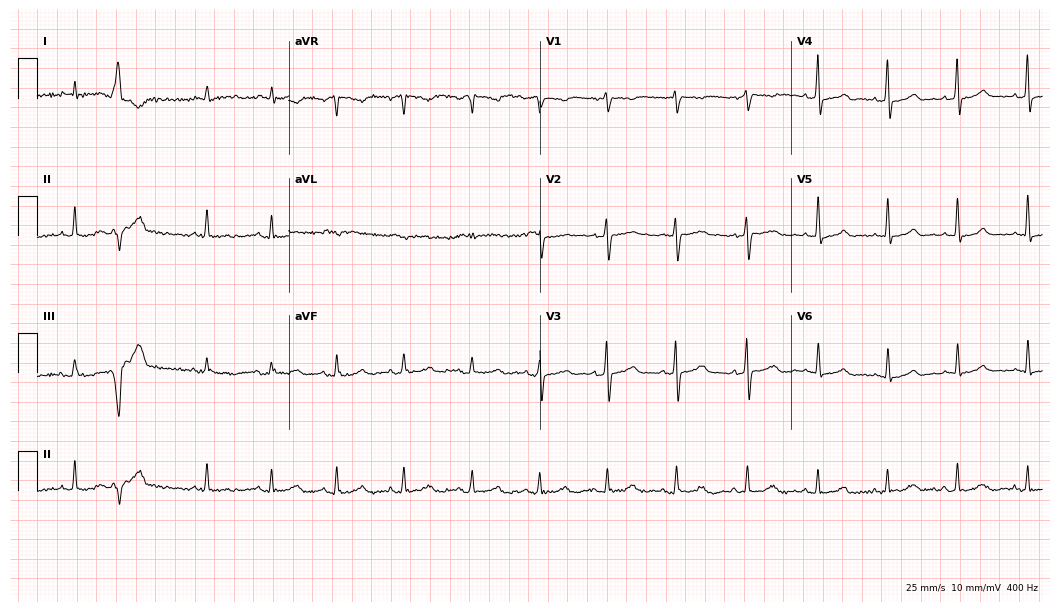
ECG — a 72-year-old male patient. Screened for six findings — first-degree AV block, right bundle branch block, left bundle branch block, sinus bradycardia, atrial fibrillation, sinus tachycardia — none is recorded. Other findings, if any, are not listed.